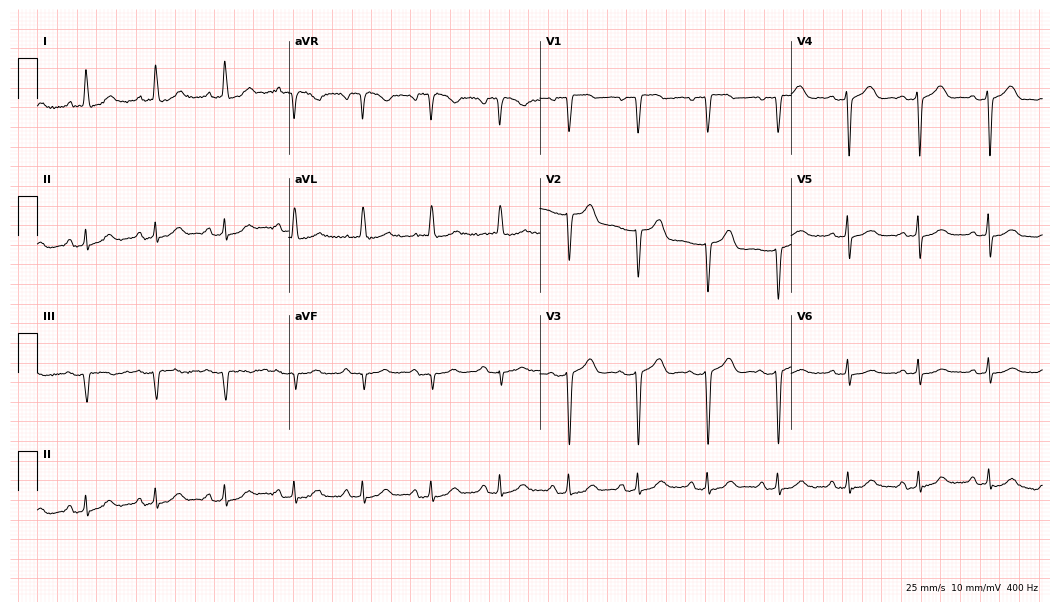
Electrocardiogram, a 79-year-old female patient. Of the six screened findings (first-degree AV block, right bundle branch block (RBBB), left bundle branch block (LBBB), sinus bradycardia, atrial fibrillation (AF), sinus tachycardia), none is recorded.